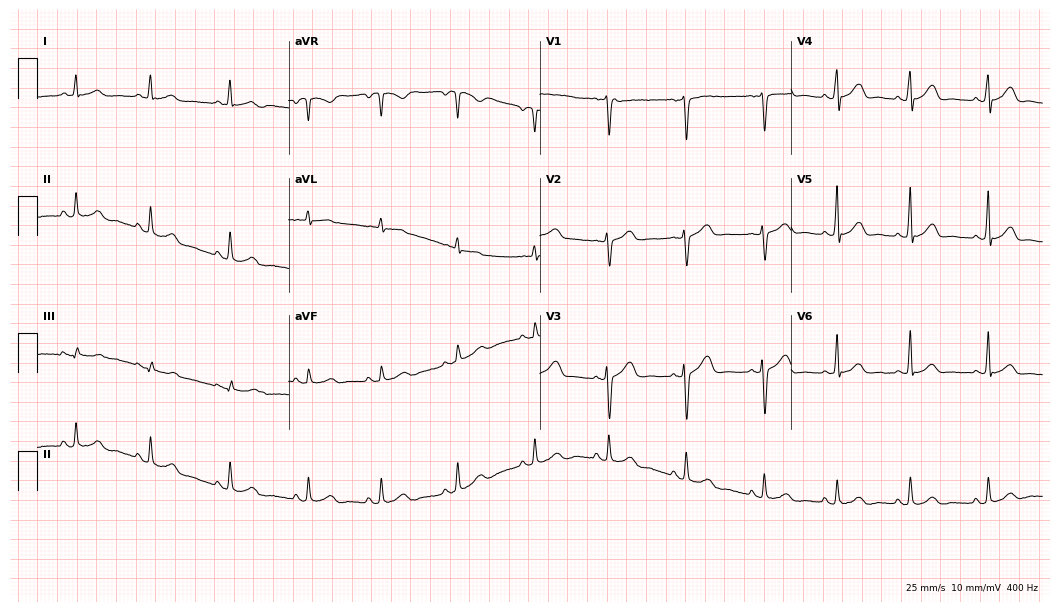
12-lead ECG from a female patient, 33 years old. No first-degree AV block, right bundle branch block, left bundle branch block, sinus bradycardia, atrial fibrillation or sinus tachycardia recorded for this tracing.